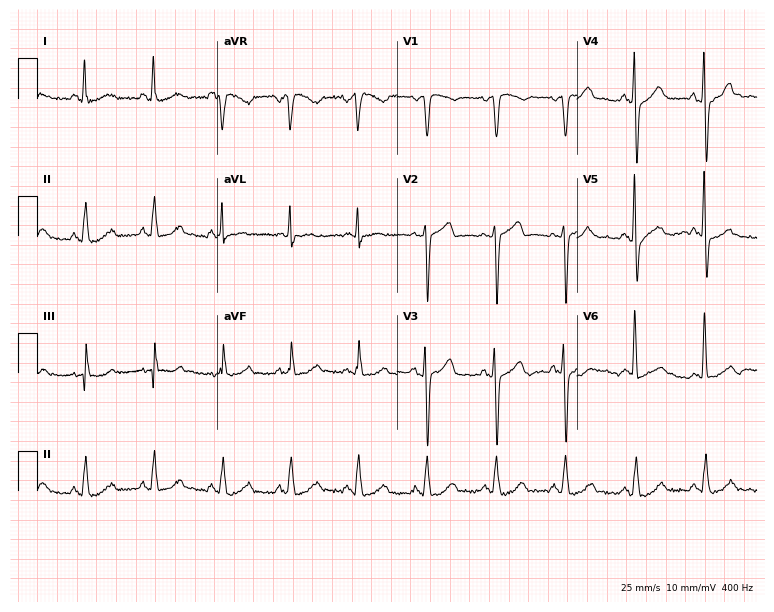
12-lead ECG from a male, 48 years old. Screened for six findings — first-degree AV block, right bundle branch block, left bundle branch block, sinus bradycardia, atrial fibrillation, sinus tachycardia — none is recorded. Other findings, if any, are not listed.